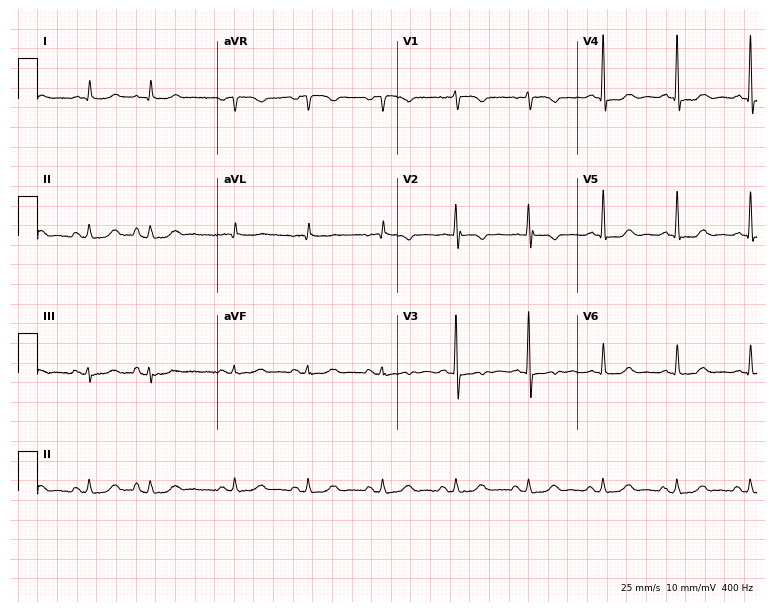
12-lead ECG from a woman, 83 years old. Recorded interpretation: within normal limits.